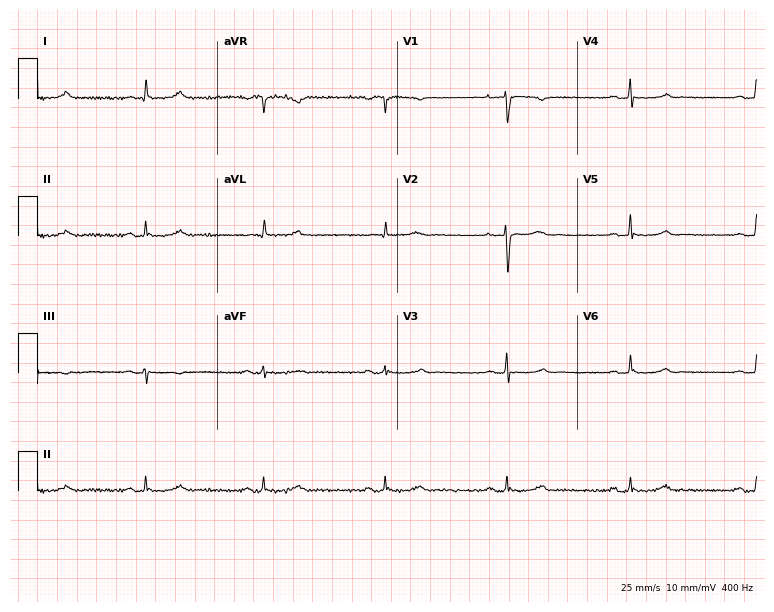
12-lead ECG from a female, 56 years old. Shows sinus bradycardia (a sinus rate of 50 beats per minute or less).